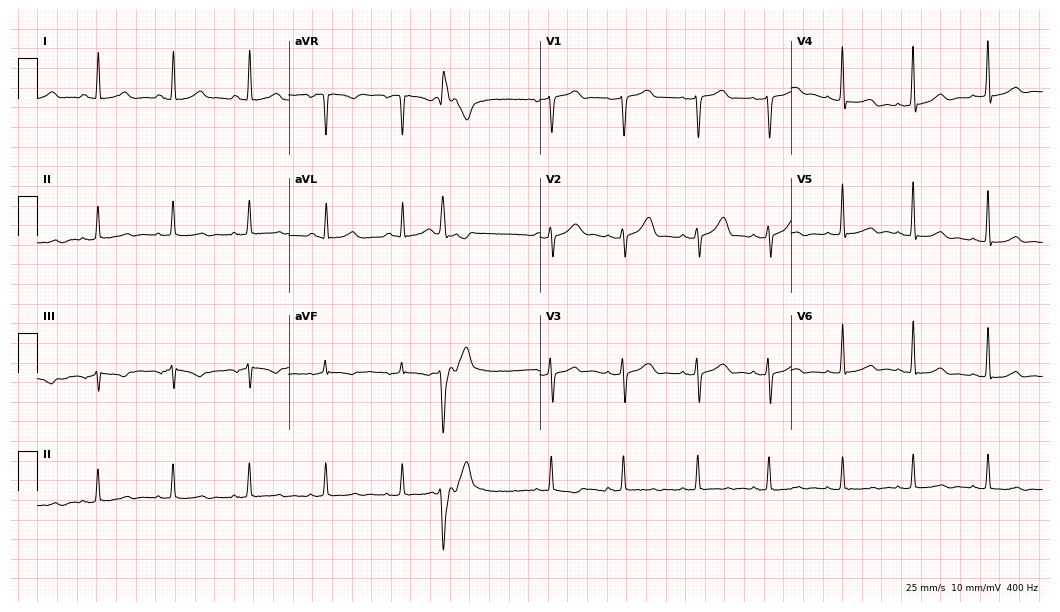
Resting 12-lead electrocardiogram (10.2-second recording at 400 Hz). Patient: a female, 58 years old. None of these six findings is recorded: first-degree AV block, right bundle branch block, left bundle branch block, sinus bradycardia, atrial fibrillation, sinus tachycardia.